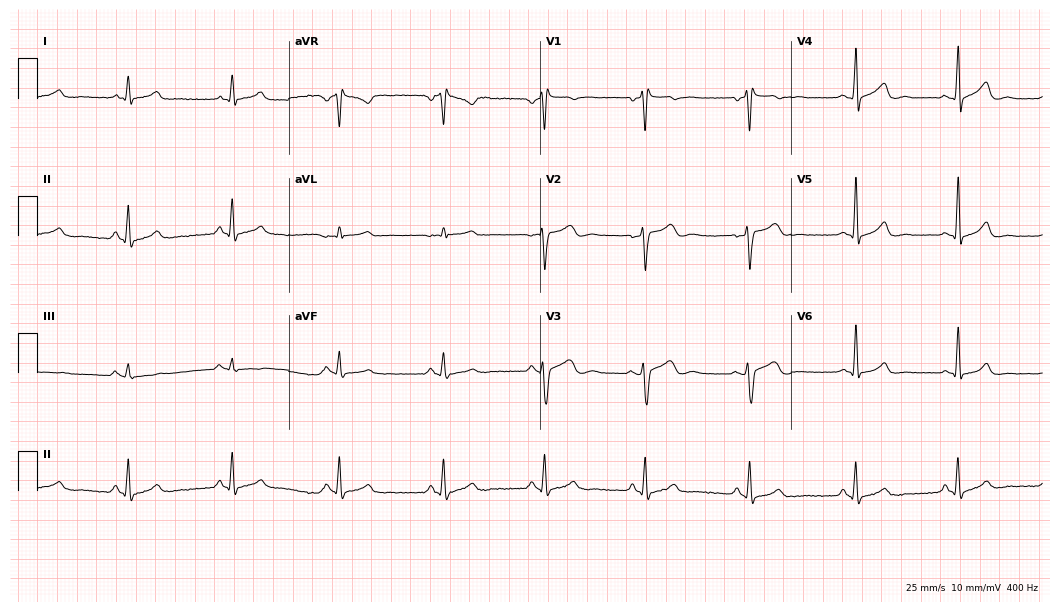
Electrocardiogram (10.2-second recording at 400 Hz), a man, 46 years old. Of the six screened findings (first-degree AV block, right bundle branch block, left bundle branch block, sinus bradycardia, atrial fibrillation, sinus tachycardia), none is recorded.